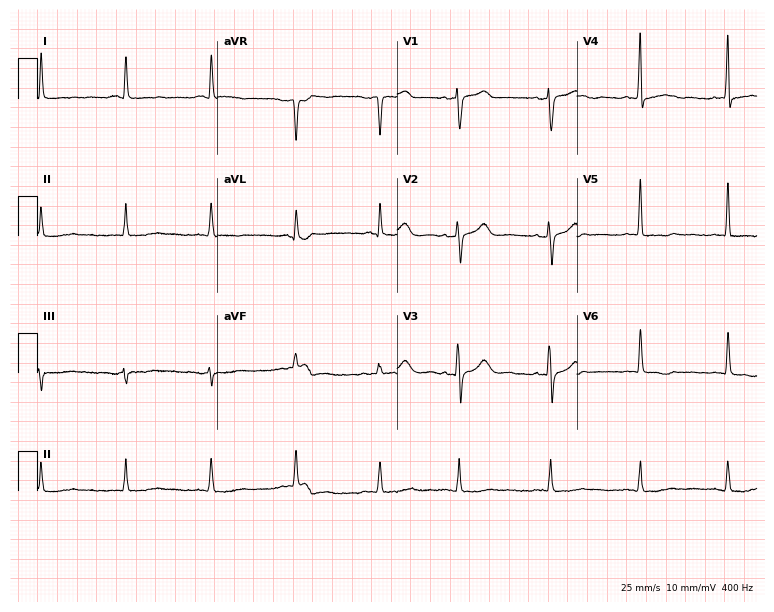
12-lead ECG (7.3-second recording at 400 Hz) from a female patient, 61 years old. Screened for six findings — first-degree AV block, right bundle branch block, left bundle branch block, sinus bradycardia, atrial fibrillation, sinus tachycardia — none is recorded. Findings outside these six are not listed.